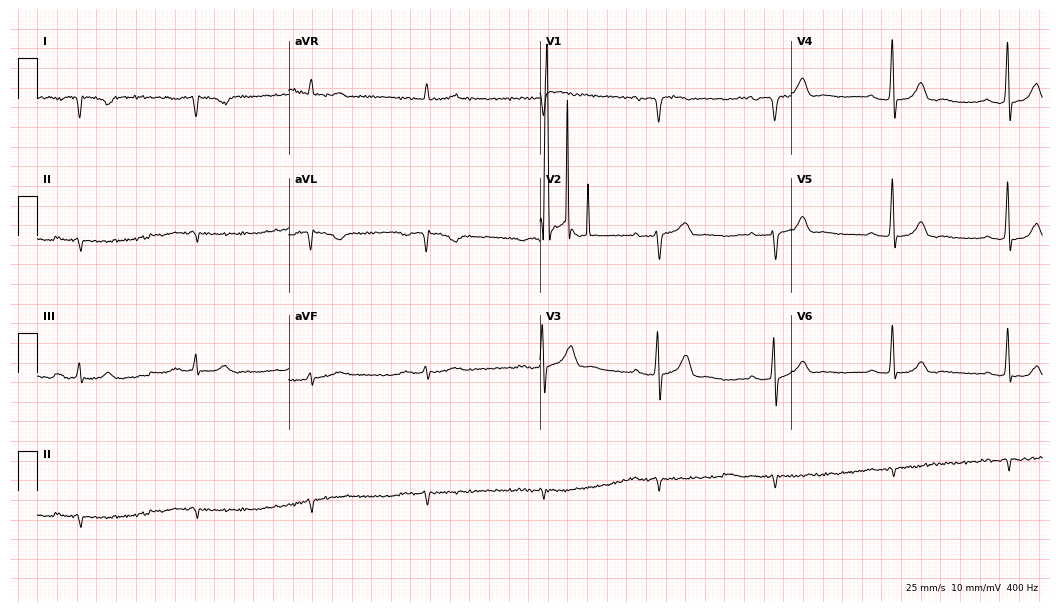
Electrocardiogram (10.2-second recording at 400 Hz), an 83-year-old male patient. Of the six screened findings (first-degree AV block, right bundle branch block, left bundle branch block, sinus bradycardia, atrial fibrillation, sinus tachycardia), none is recorded.